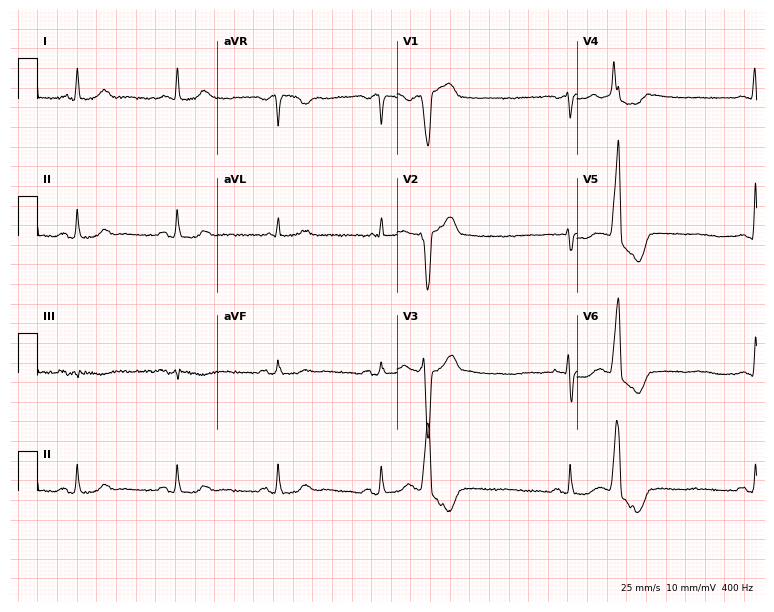
Electrocardiogram, a 63-year-old female patient. Overall reading on record: normal ECG.